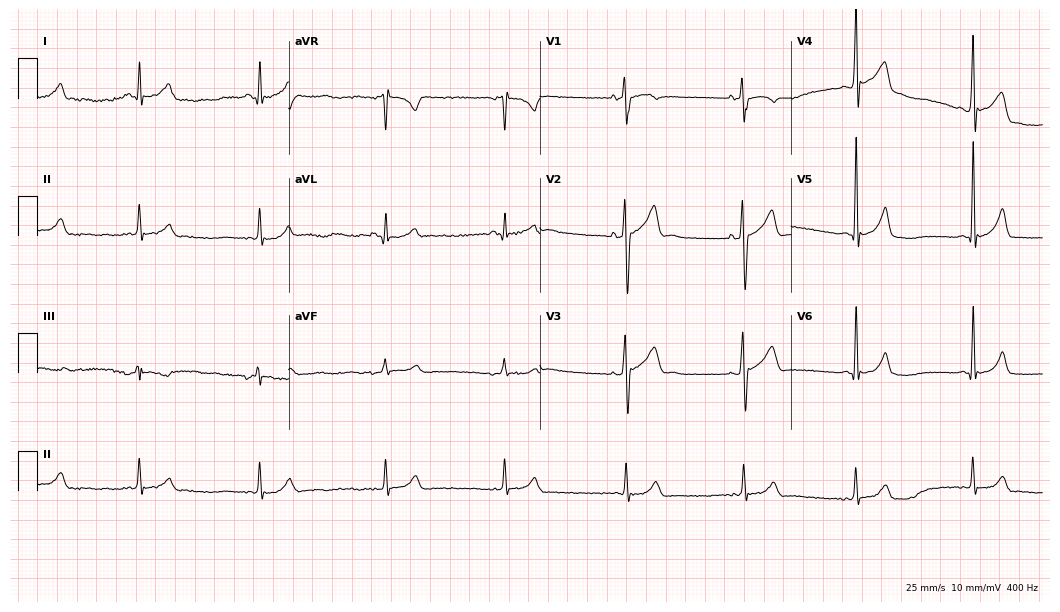
Electrocardiogram (10.2-second recording at 400 Hz), a 17-year-old male. Overall reading on record: normal ECG.